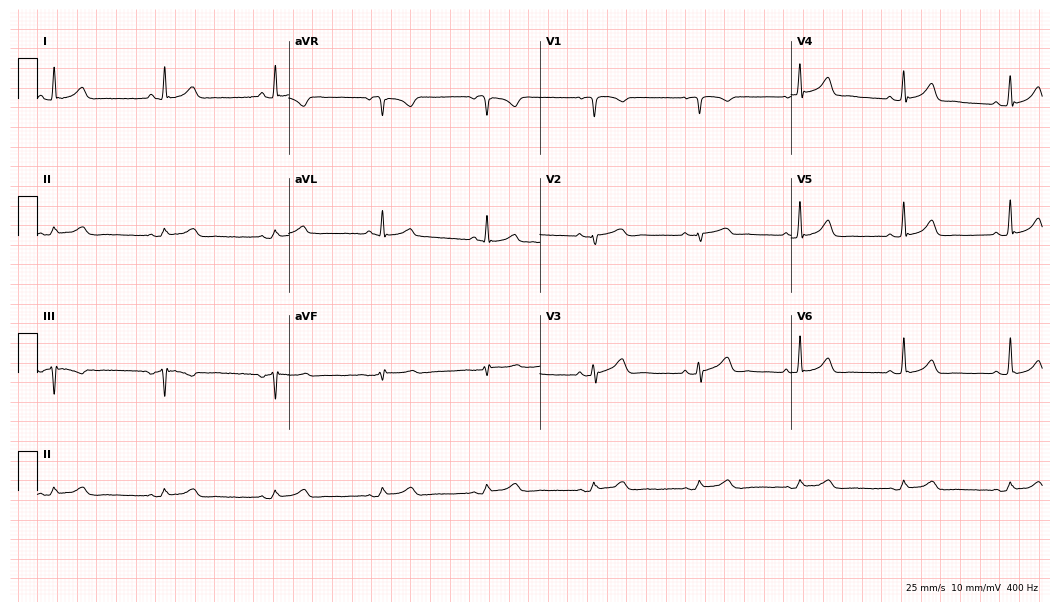
12-lead ECG from a female, 53 years old. Labelled as a normal ECG.